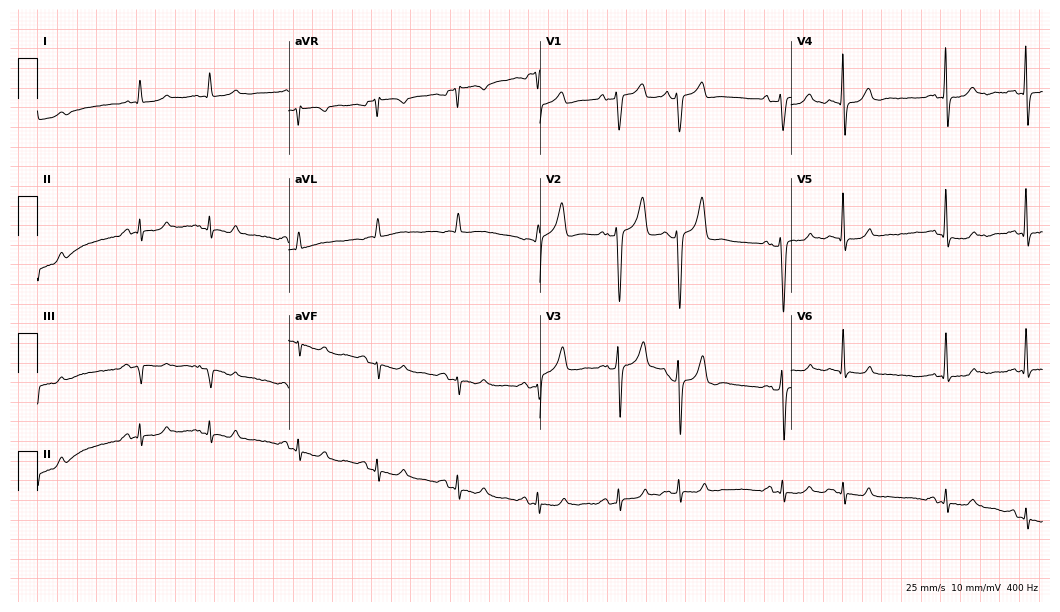
Electrocardiogram (10.2-second recording at 400 Hz), a male patient, 69 years old. Of the six screened findings (first-degree AV block, right bundle branch block, left bundle branch block, sinus bradycardia, atrial fibrillation, sinus tachycardia), none is recorded.